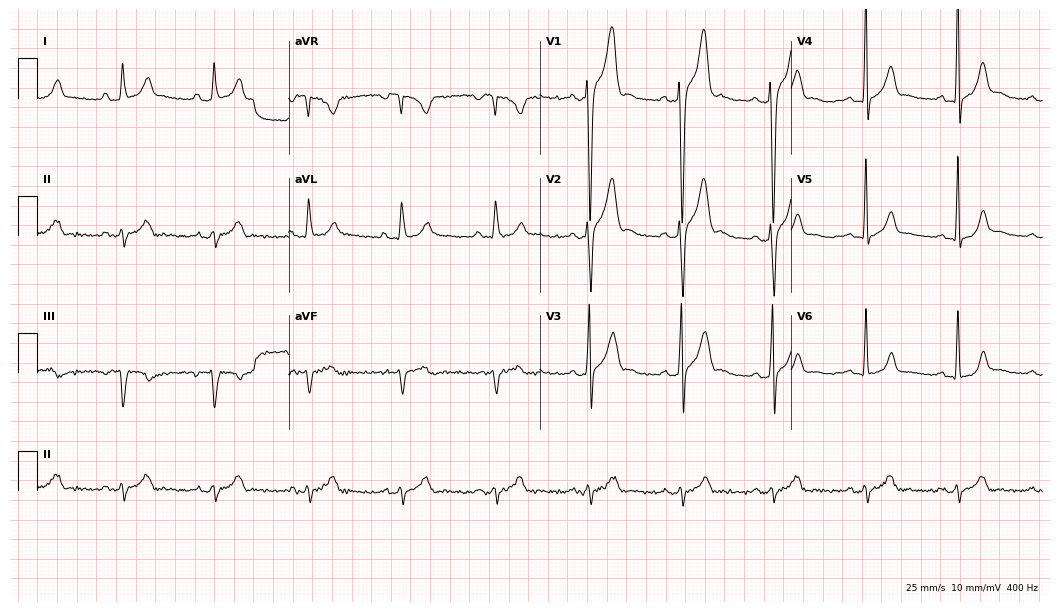
12-lead ECG from a male, 28 years old. Recorded interpretation: within normal limits.